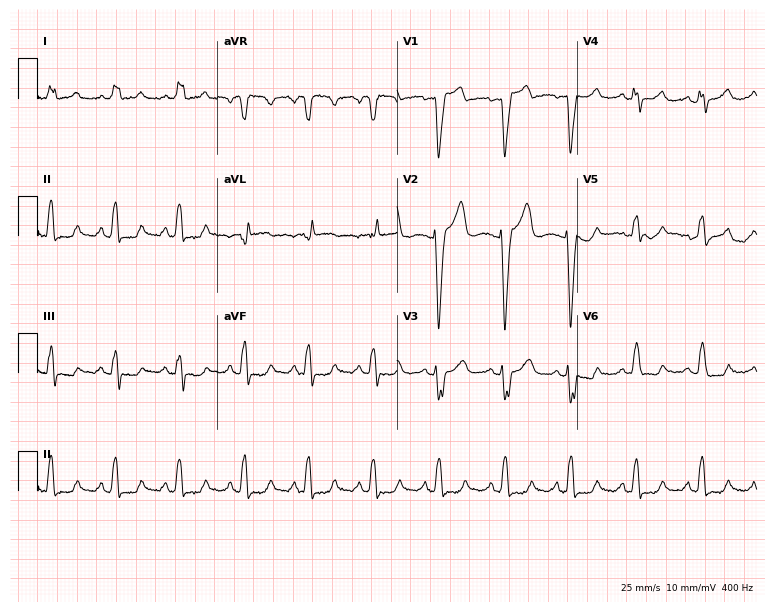
Electrocardiogram, a female, 58 years old. Interpretation includes left bundle branch block (LBBB).